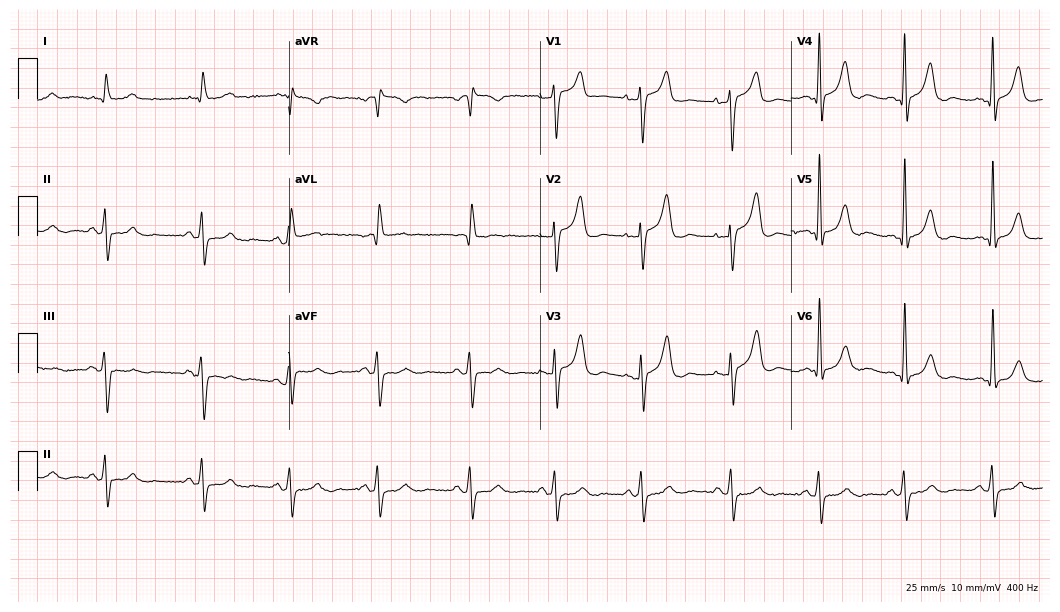
12-lead ECG (10.2-second recording at 400 Hz) from an 81-year-old female. Screened for six findings — first-degree AV block, right bundle branch block, left bundle branch block, sinus bradycardia, atrial fibrillation, sinus tachycardia — none is recorded.